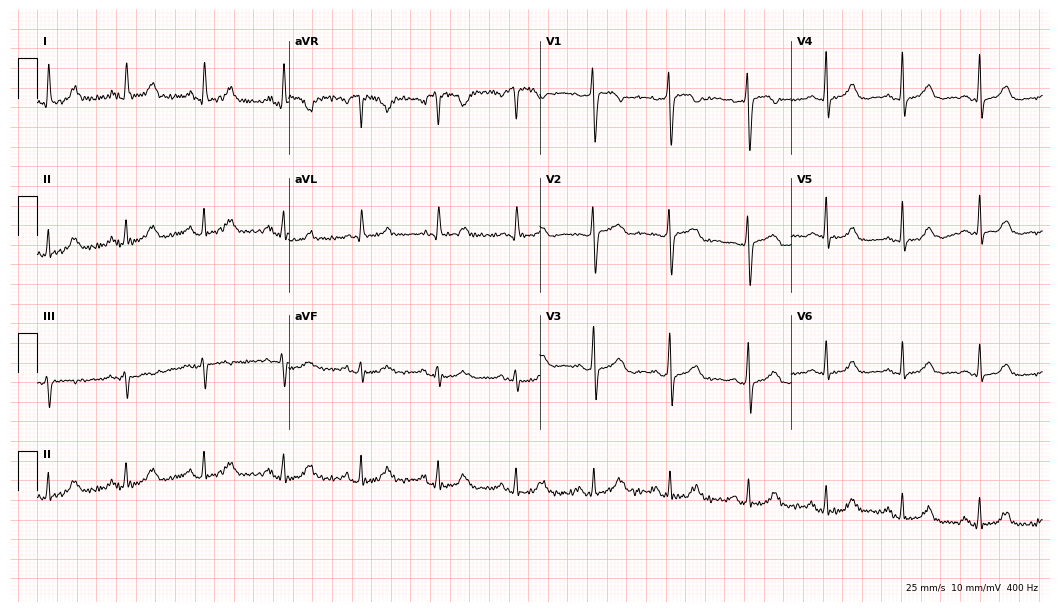
ECG — a female, 68 years old. Labelled as a normal ECG.